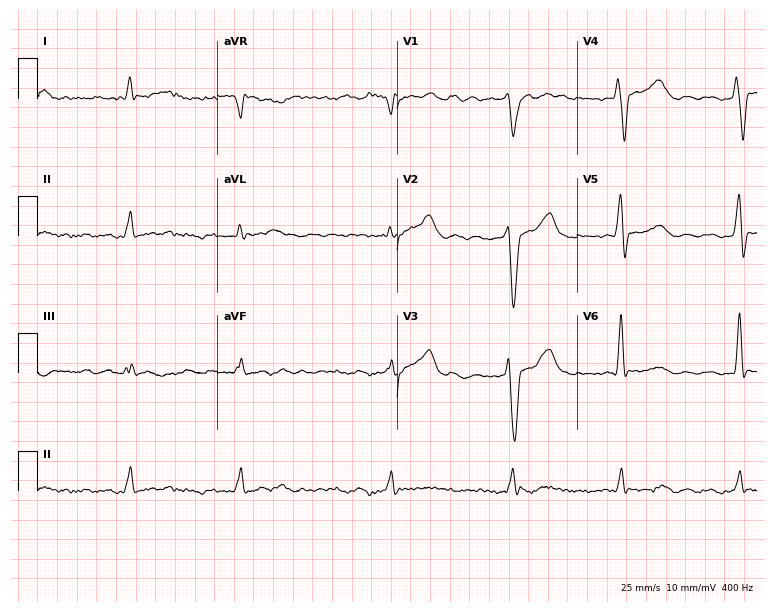
12-lead ECG from a 34-year-old male patient. Findings include left bundle branch block, atrial fibrillation.